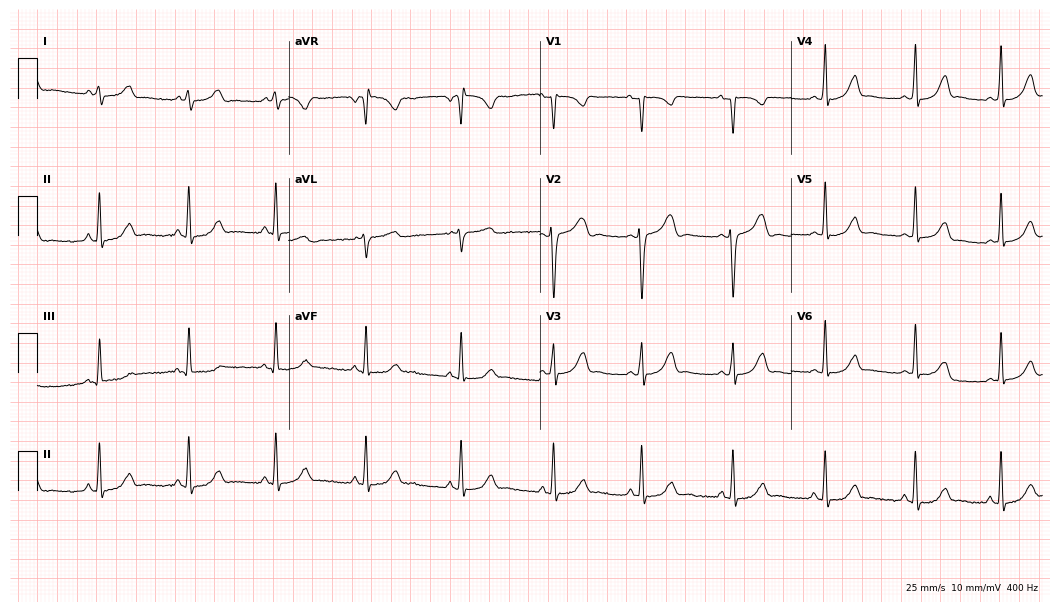
12-lead ECG from a female, 27 years old (10.2-second recording at 400 Hz). Recorded interpretation: within normal limits.